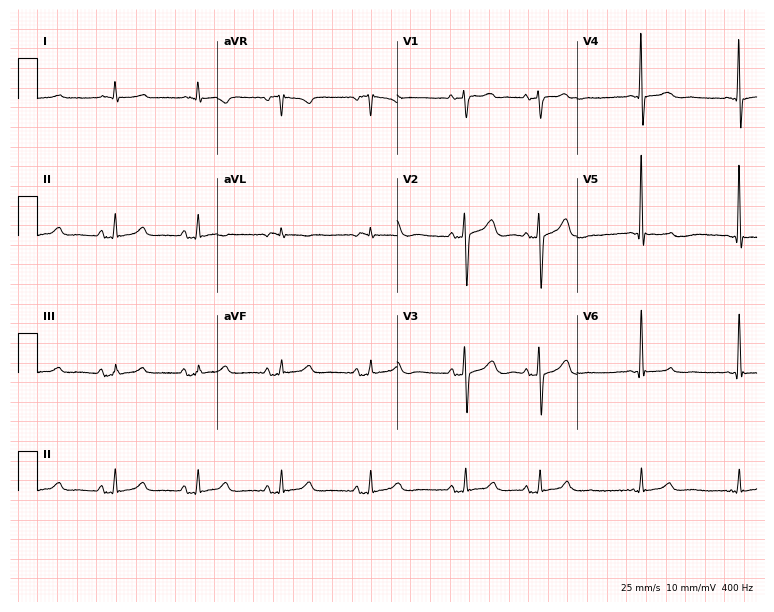
Resting 12-lead electrocardiogram (7.3-second recording at 400 Hz). Patient: an 82-year-old male. None of these six findings is recorded: first-degree AV block, right bundle branch block, left bundle branch block, sinus bradycardia, atrial fibrillation, sinus tachycardia.